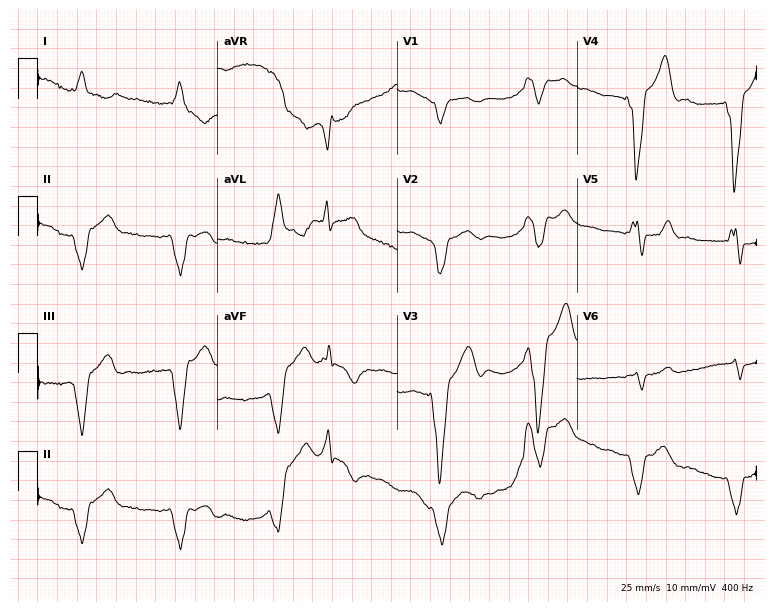
Resting 12-lead electrocardiogram. Patient: a male, 85 years old. None of these six findings is recorded: first-degree AV block, right bundle branch block, left bundle branch block, sinus bradycardia, atrial fibrillation, sinus tachycardia.